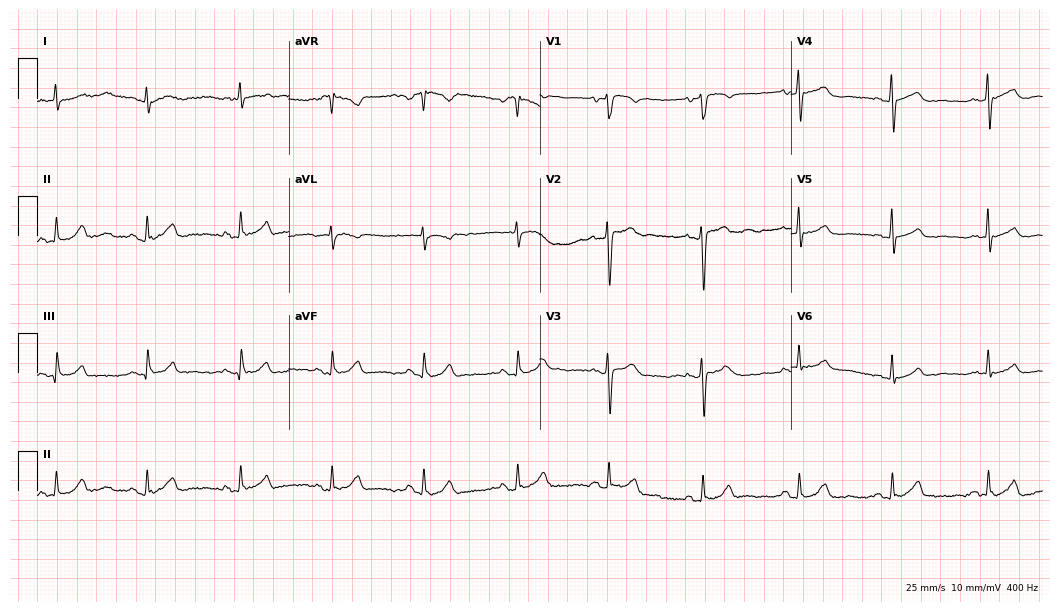
Resting 12-lead electrocardiogram (10.2-second recording at 400 Hz). Patient: a 57-year-old male. None of these six findings is recorded: first-degree AV block, right bundle branch block, left bundle branch block, sinus bradycardia, atrial fibrillation, sinus tachycardia.